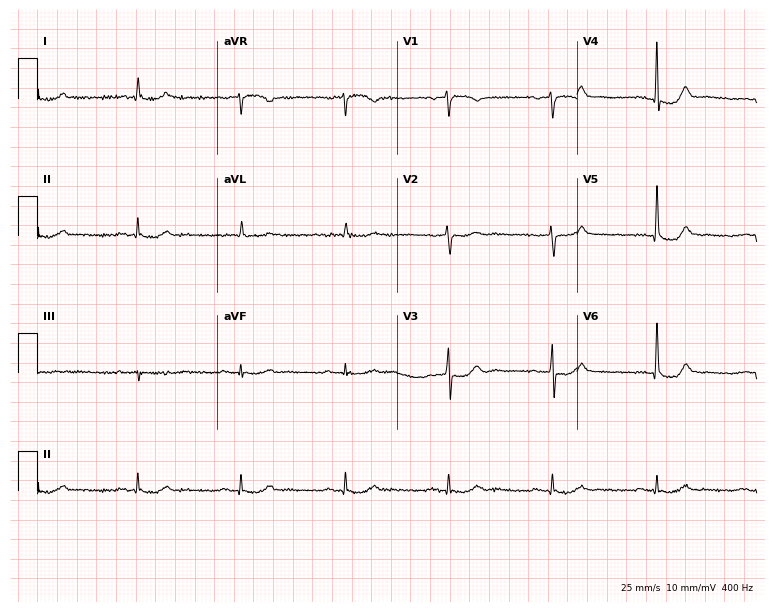
12-lead ECG from a male patient, 71 years old. Screened for six findings — first-degree AV block, right bundle branch block, left bundle branch block, sinus bradycardia, atrial fibrillation, sinus tachycardia — none is recorded. Other findings, if any, are not listed.